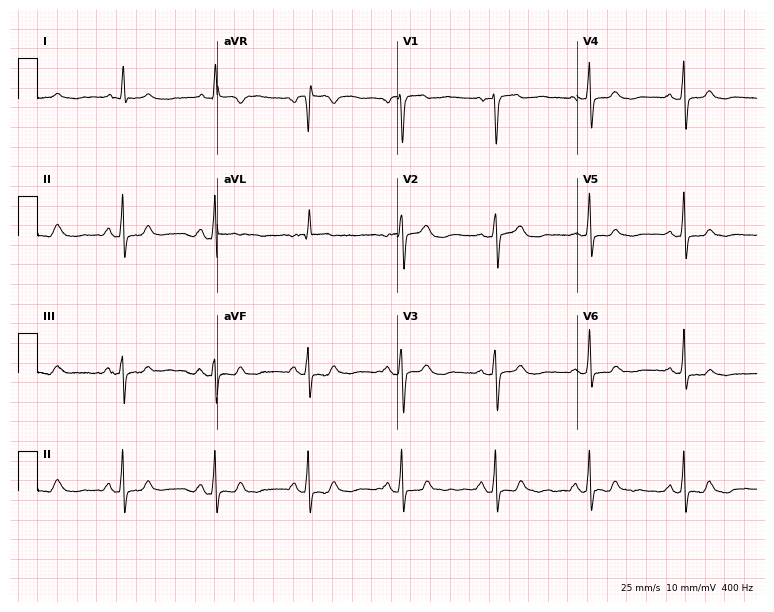
ECG — a woman, 67 years old. Labelled as a normal ECG.